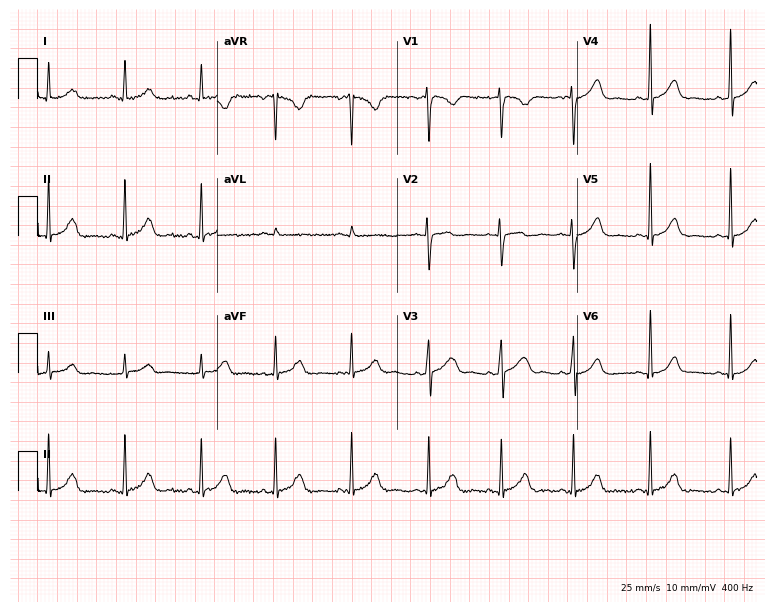
12-lead ECG from a 26-year-old woman. Recorded interpretation: within normal limits.